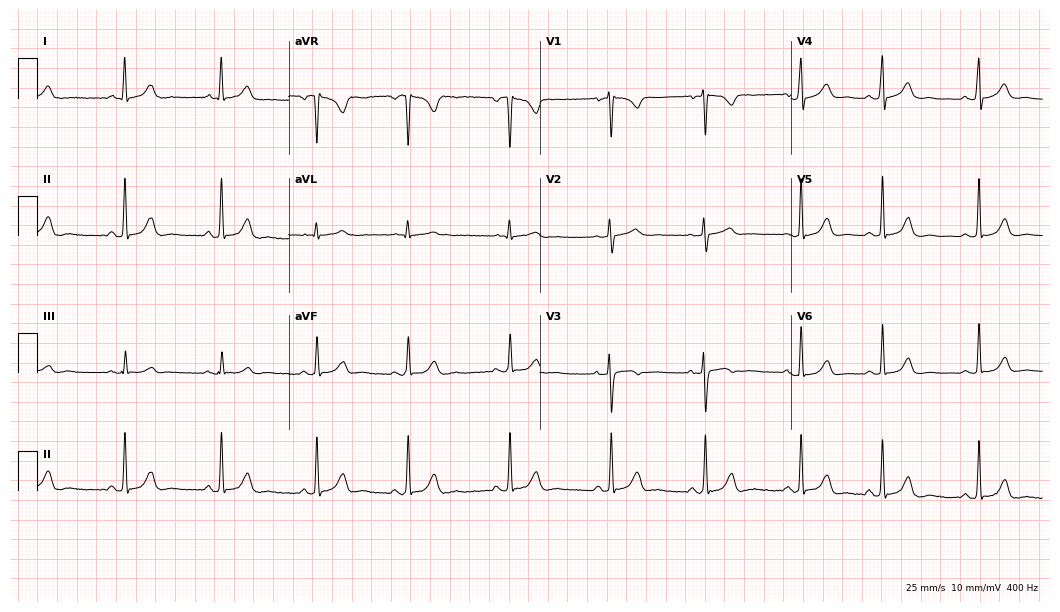
Resting 12-lead electrocardiogram (10.2-second recording at 400 Hz). Patient: a woman, 22 years old. Read as a normal ECG.